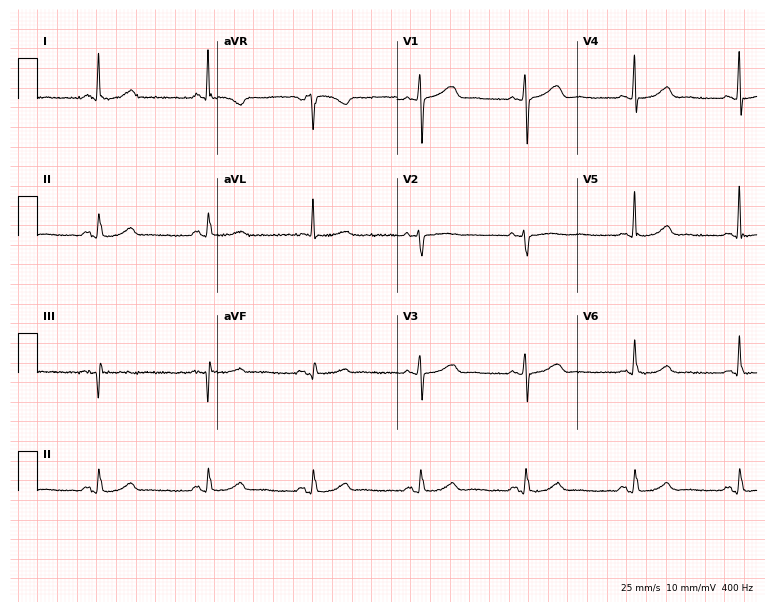
Electrocardiogram, a female, 78 years old. Overall reading on record: normal ECG.